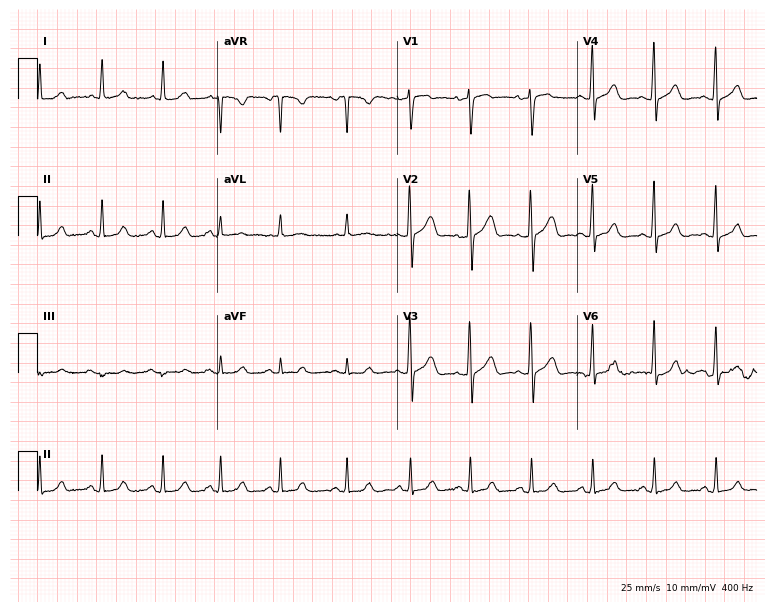
Standard 12-lead ECG recorded from a female patient, 29 years old (7.3-second recording at 400 Hz). Read as a normal ECG.